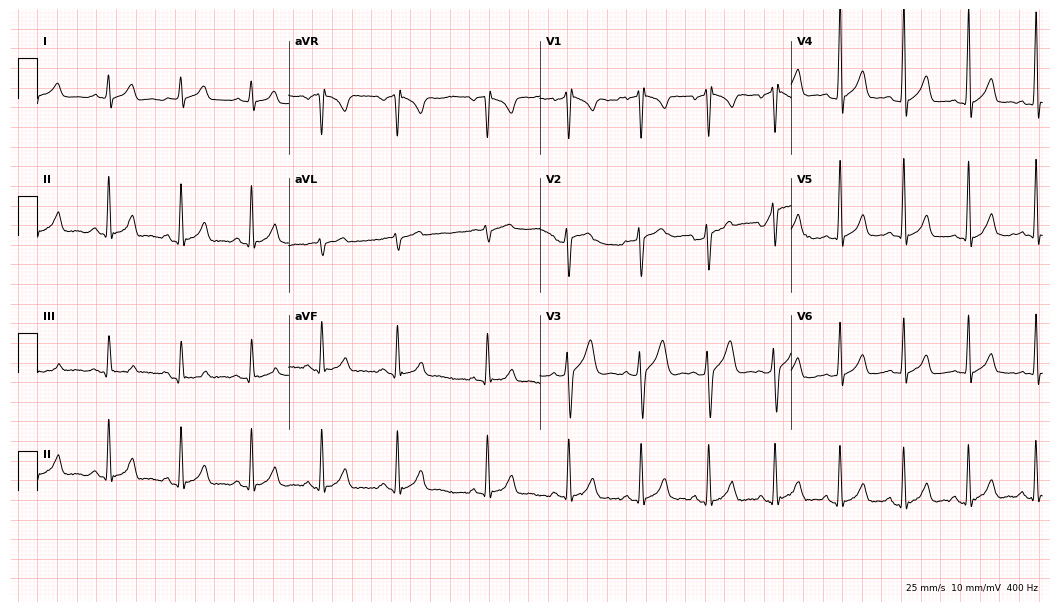
Electrocardiogram (10.2-second recording at 400 Hz), a 28-year-old man. Overall reading on record: normal ECG.